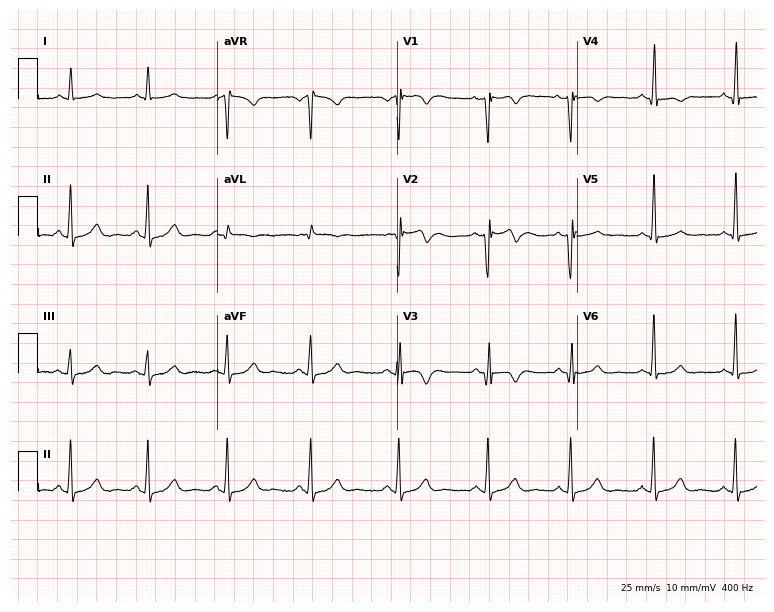
12-lead ECG from a male patient, 62 years old. No first-degree AV block, right bundle branch block, left bundle branch block, sinus bradycardia, atrial fibrillation or sinus tachycardia recorded for this tracing. Findings outside these six are not listed.